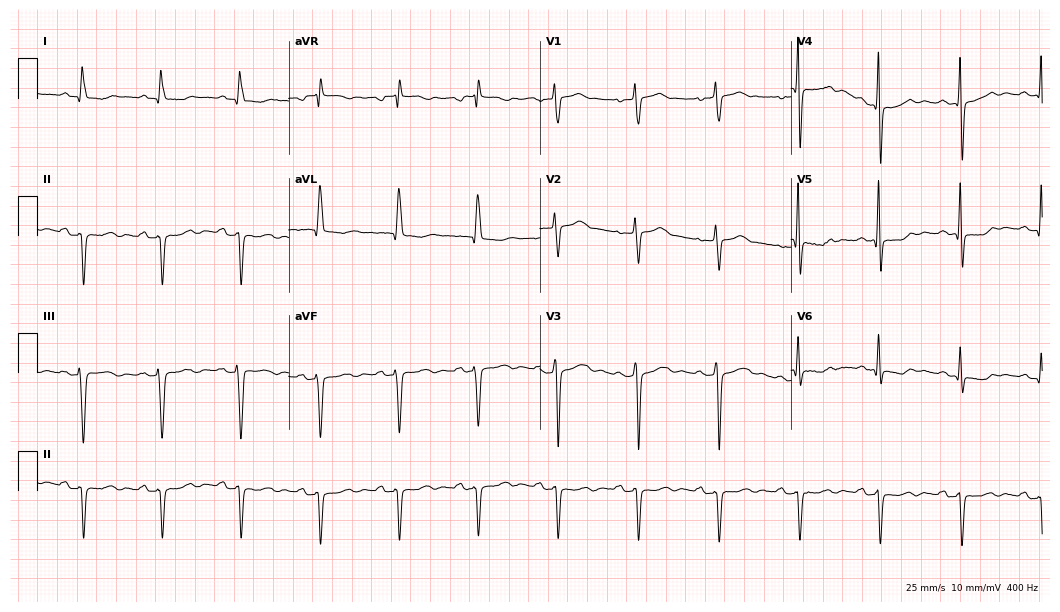
12-lead ECG (10.2-second recording at 400 Hz) from a female patient, 60 years old. Screened for six findings — first-degree AV block, right bundle branch block, left bundle branch block, sinus bradycardia, atrial fibrillation, sinus tachycardia — none is recorded.